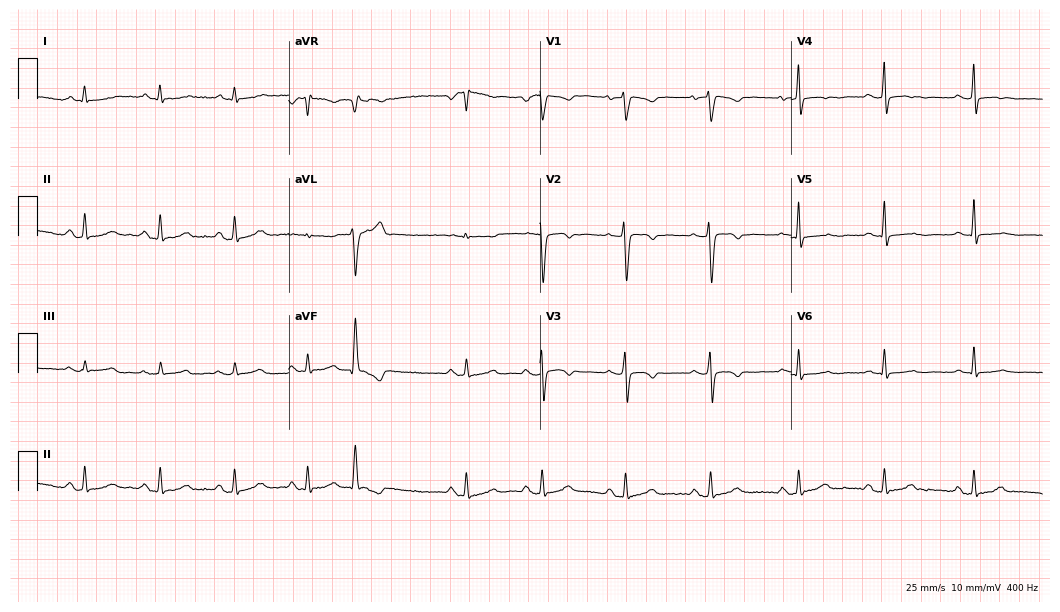
Electrocardiogram (10.2-second recording at 400 Hz), a female patient, 35 years old. Of the six screened findings (first-degree AV block, right bundle branch block, left bundle branch block, sinus bradycardia, atrial fibrillation, sinus tachycardia), none is recorded. Only these six findings were labelled.